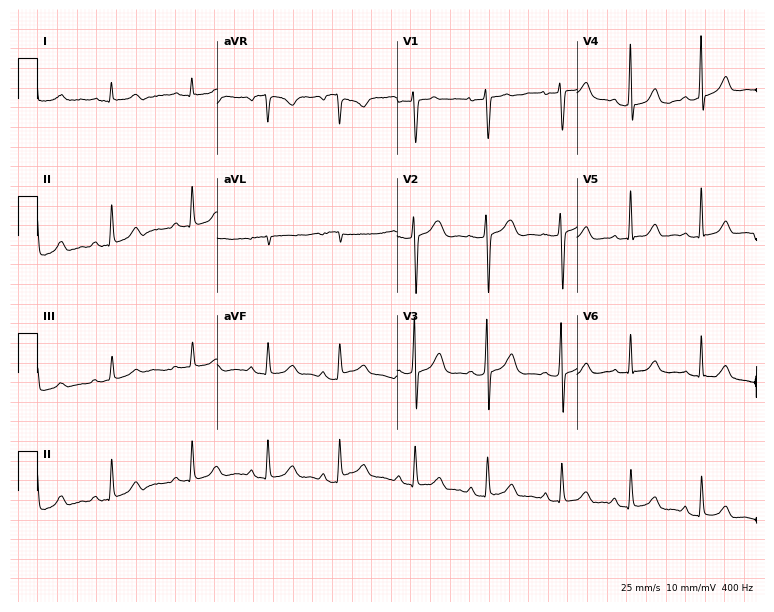
12-lead ECG from a 25-year-old female patient. Screened for six findings — first-degree AV block, right bundle branch block, left bundle branch block, sinus bradycardia, atrial fibrillation, sinus tachycardia — none is recorded.